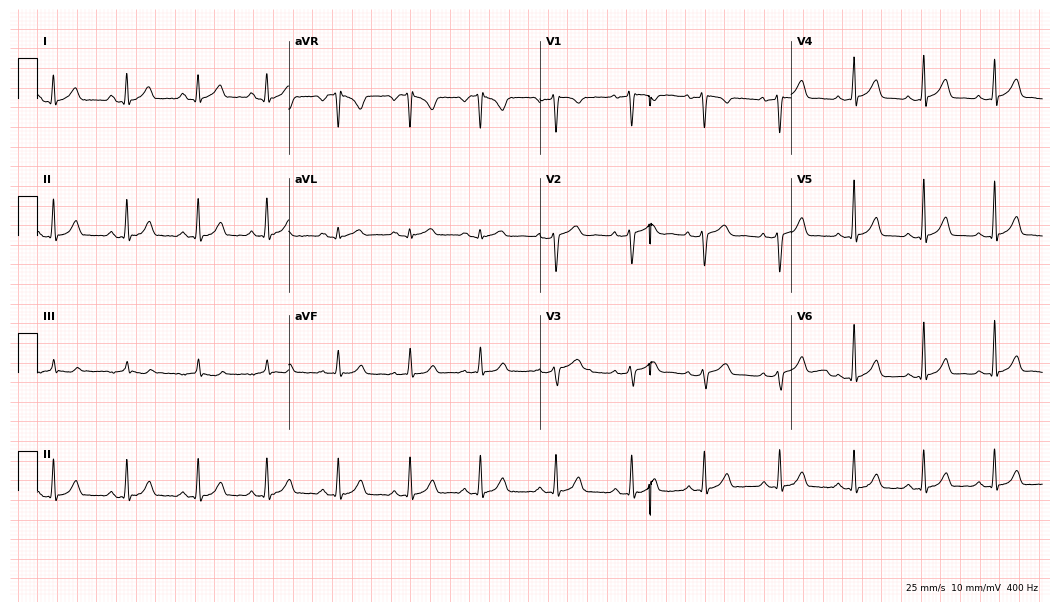
ECG (10.2-second recording at 400 Hz) — a female patient, 18 years old. Screened for six findings — first-degree AV block, right bundle branch block (RBBB), left bundle branch block (LBBB), sinus bradycardia, atrial fibrillation (AF), sinus tachycardia — none is recorded.